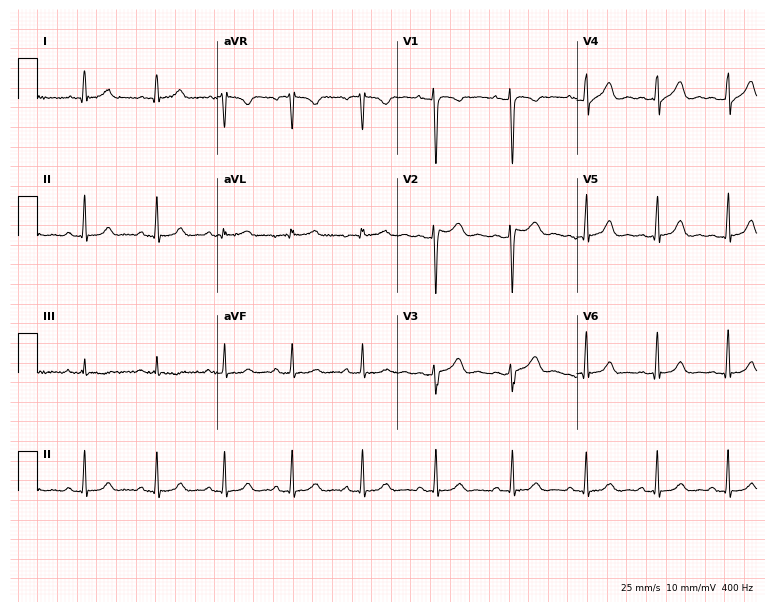
Resting 12-lead electrocardiogram (7.3-second recording at 400 Hz). Patient: a female, 30 years old. None of these six findings is recorded: first-degree AV block, right bundle branch block, left bundle branch block, sinus bradycardia, atrial fibrillation, sinus tachycardia.